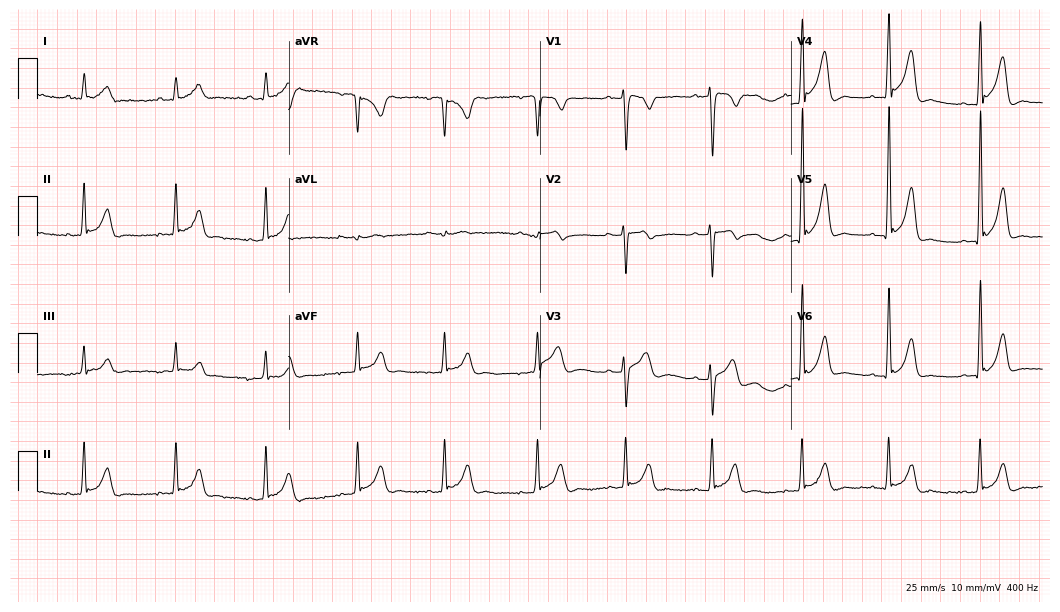
ECG (10.2-second recording at 400 Hz) — a male, 20 years old. Screened for six findings — first-degree AV block, right bundle branch block, left bundle branch block, sinus bradycardia, atrial fibrillation, sinus tachycardia — none is recorded. Findings outside these six are not listed.